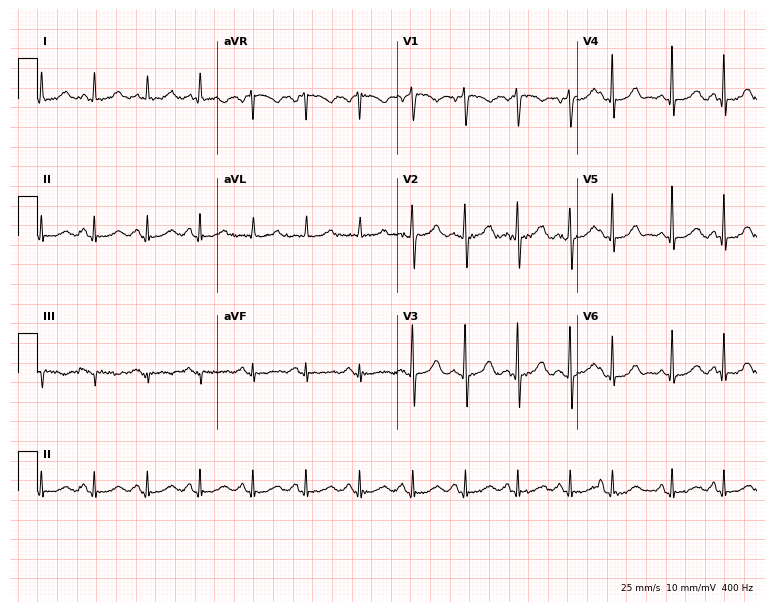
12-lead ECG (7.3-second recording at 400 Hz) from a 74-year-old woman. Findings include sinus tachycardia (a sinus rate of 100 beats per minute or more).